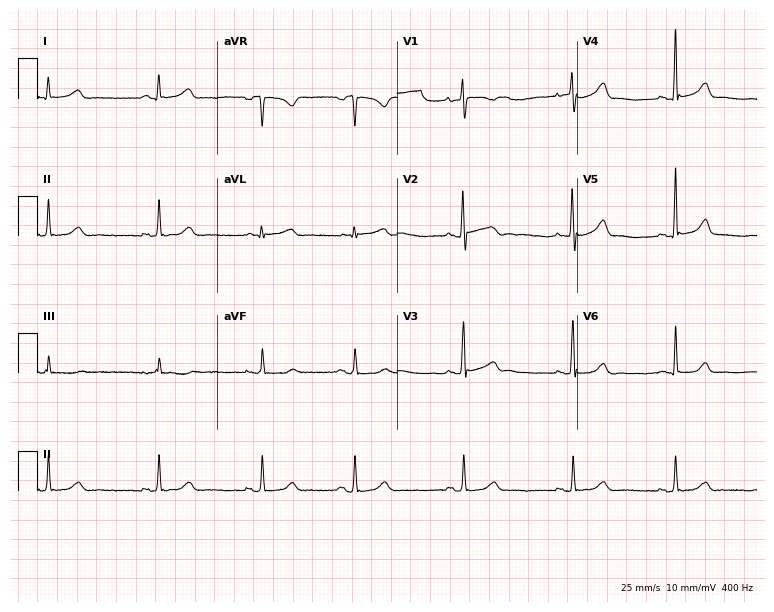
Resting 12-lead electrocardiogram. Patient: a female, 23 years old. Read as a normal ECG.